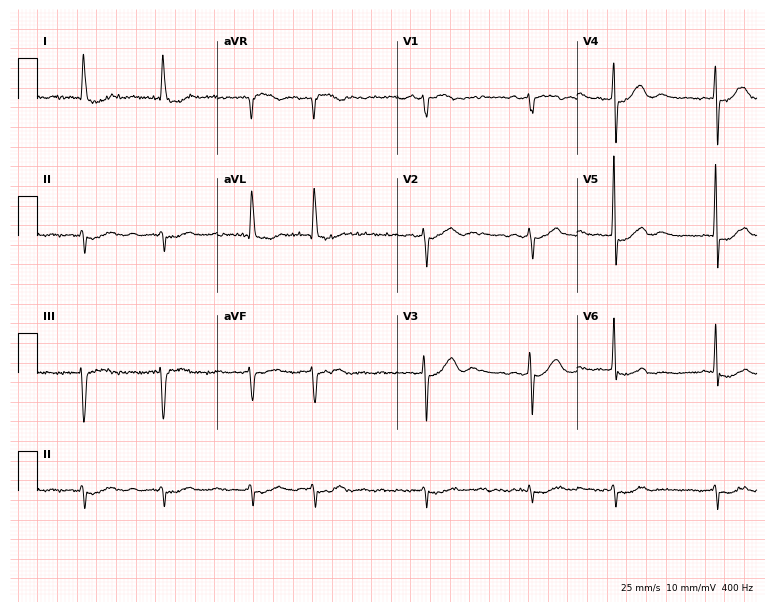
12-lead ECG (7.3-second recording at 400 Hz) from a female, 85 years old. Findings include atrial fibrillation.